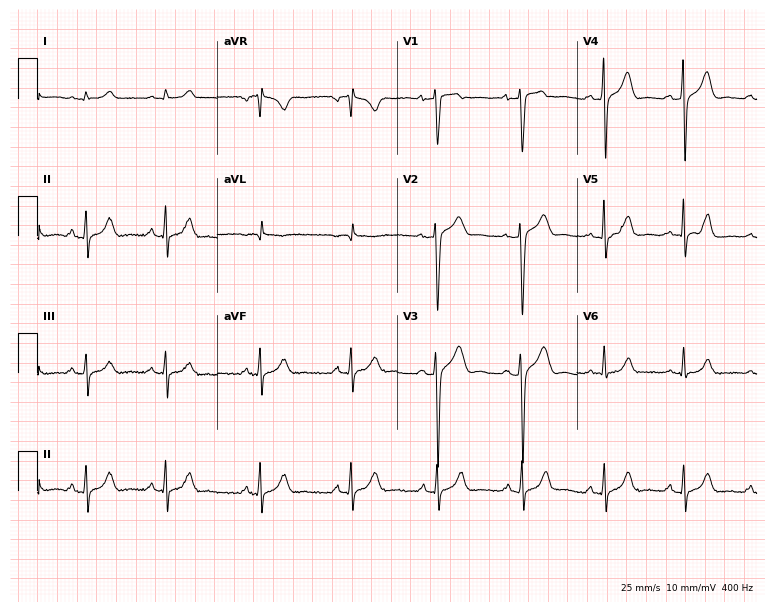
ECG (7.3-second recording at 400 Hz) — a 33-year-old male. Labelled as a normal ECG.